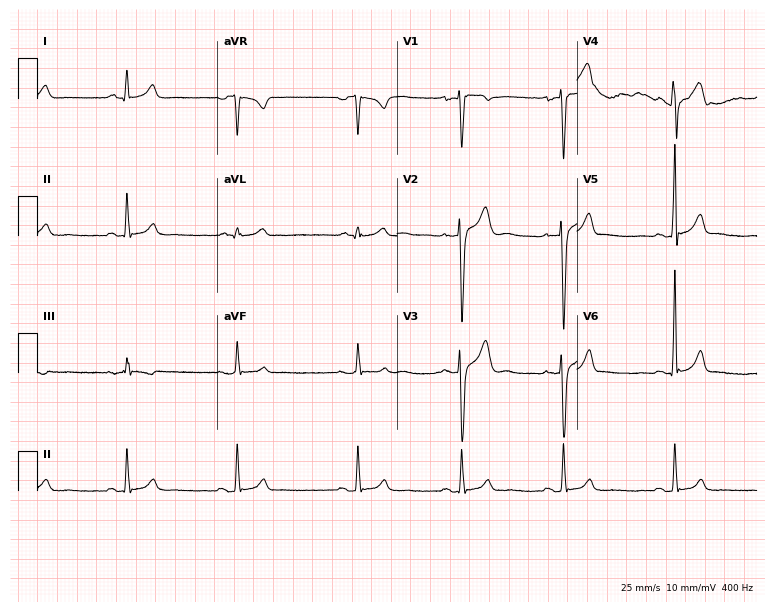
Standard 12-lead ECG recorded from a 30-year-old male. Read as a normal ECG.